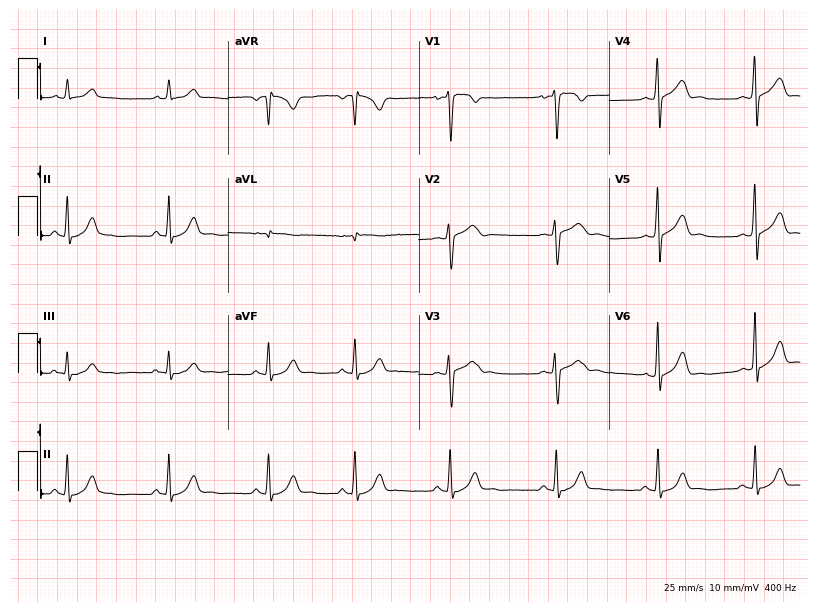
Standard 12-lead ECG recorded from a male, 20 years old. Read as a normal ECG.